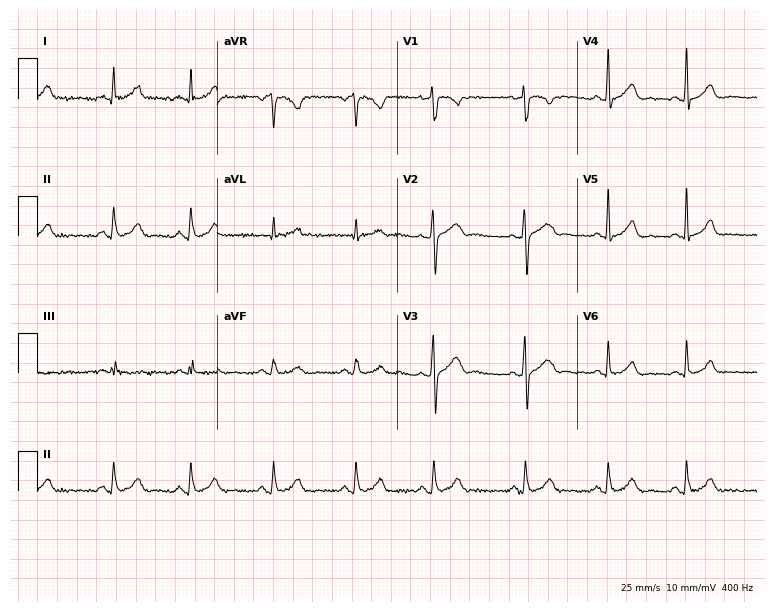
Resting 12-lead electrocardiogram. Patient: a 32-year-old female. Read as a normal ECG.